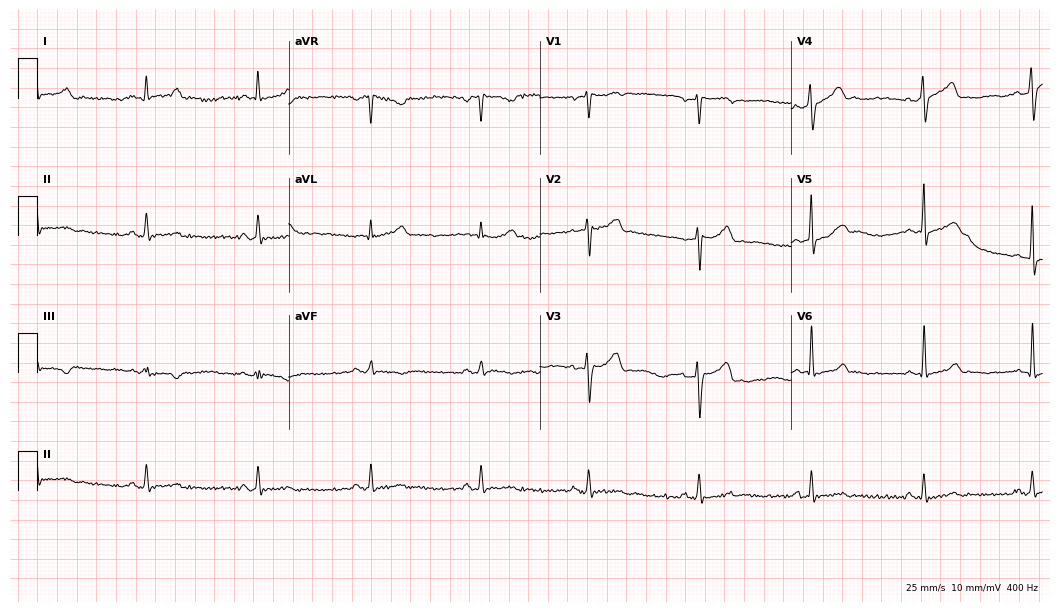
12-lead ECG from a man, 41 years old (10.2-second recording at 400 Hz). No first-degree AV block, right bundle branch block, left bundle branch block, sinus bradycardia, atrial fibrillation or sinus tachycardia recorded for this tracing. Other findings, if any, are not listed.